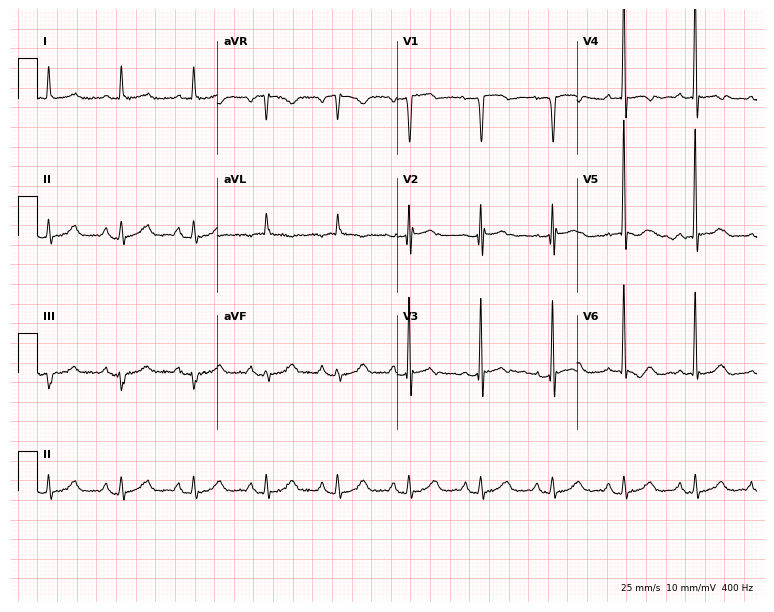
Standard 12-lead ECG recorded from an 80-year-old man. None of these six findings is recorded: first-degree AV block, right bundle branch block (RBBB), left bundle branch block (LBBB), sinus bradycardia, atrial fibrillation (AF), sinus tachycardia. Only these six findings were labelled.